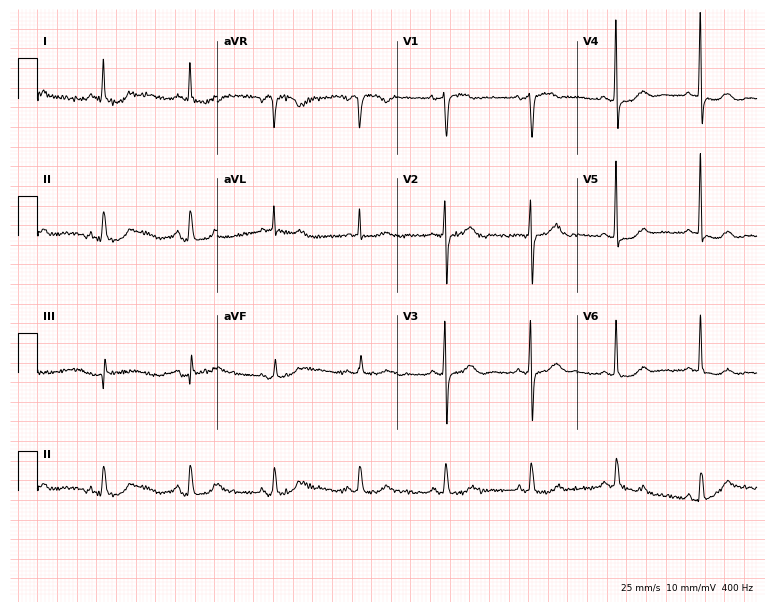
12-lead ECG (7.3-second recording at 400 Hz) from a 73-year-old female. Labelled as a normal ECG.